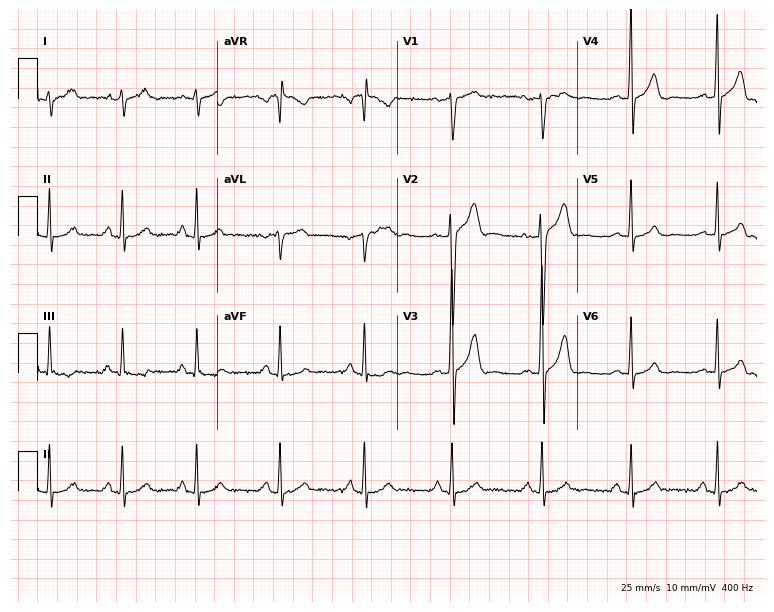
Resting 12-lead electrocardiogram (7.3-second recording at 400 Hz). Patient: a 32-year-old male. None of these six findings is recorded: first-degree AV block, right bundle branch block, left bundle branch block, sinus bradycardia, atrial fibrillation, sinus tachycardia. Other findings, if any, are not listed.